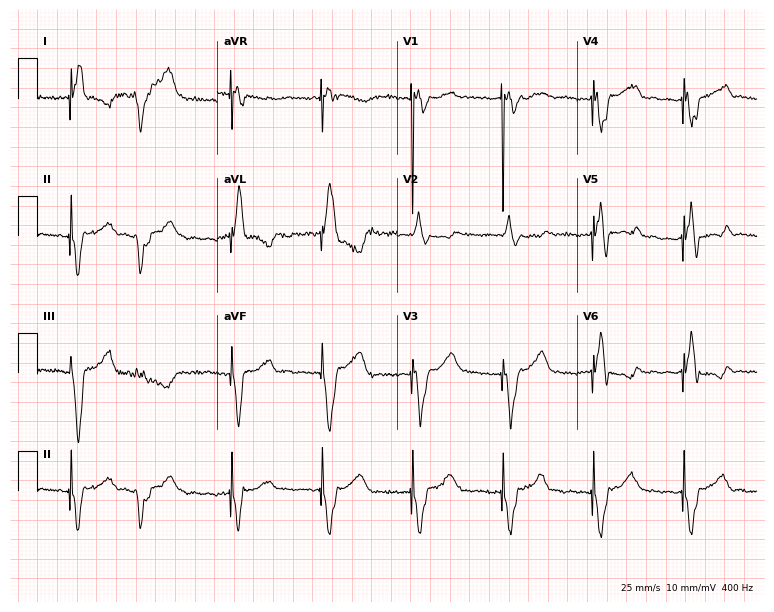
12-lead ECG from a female, 81 years old. Screened for six findings — first-degree AV block, right bundle branch block, left bundle branch block, sinus bradycardia, atrial fibrillation, sinus tachycardia — none is recorded. Other findings, if any, are not listed.